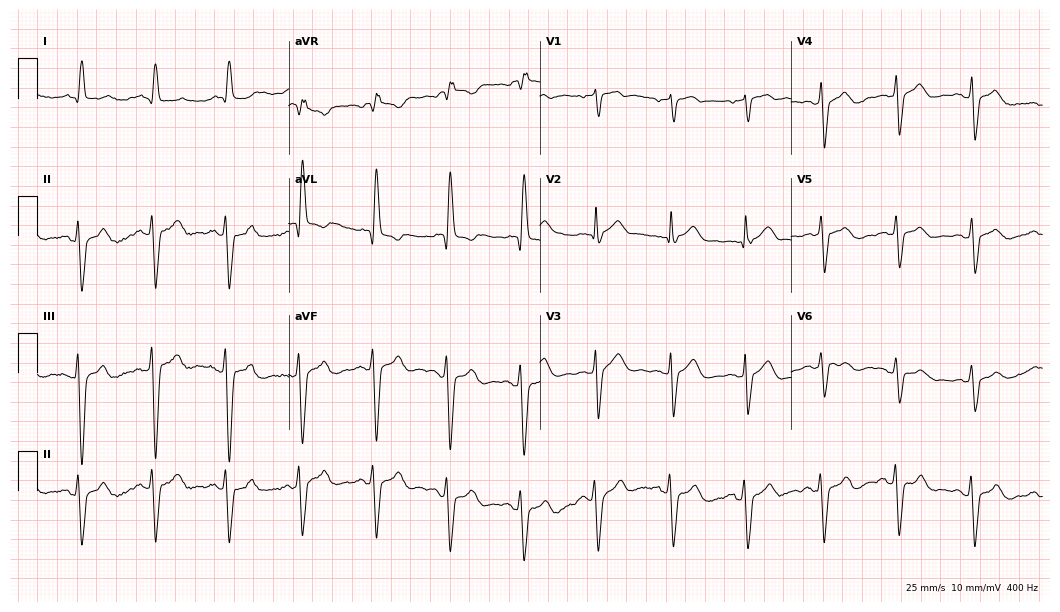
Standard 12-lead ECG recorded from a 79-year-old man (10.2-second recording at 400 Hz). None of these six findings is recorded: first-degree AV block, right bundle branch block, left bundle branch block, sinus bradycardia, atrial fibrillation, sinus tachycardia. Other findings, if any, are not listed.